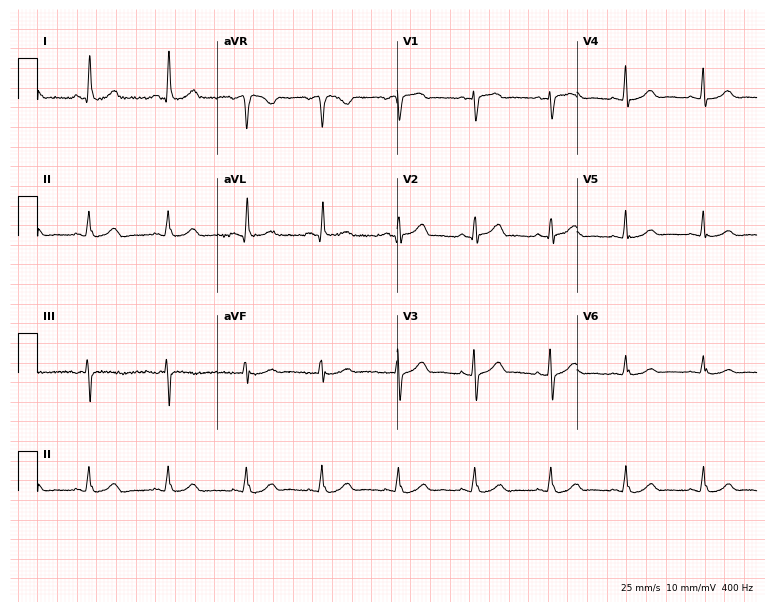
Resting 12-lead electrocardiogram. Patient: a female, 66 years old. Read as a normal ECG.